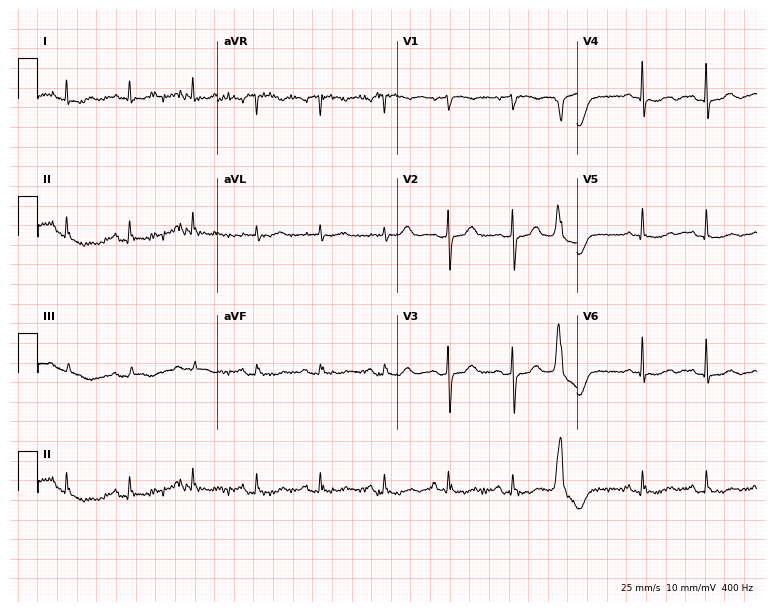
Electrocardiogram (7.3-second recording at 400 Hz), an 85-year-old male patient. Of the six screened findings (first-degree AV block, right bundle branch block, left bundle branch block, sinus bradycardia, atrial fibrillation, sinus tachycardia), none is recorded. Only these six findings were labelled.